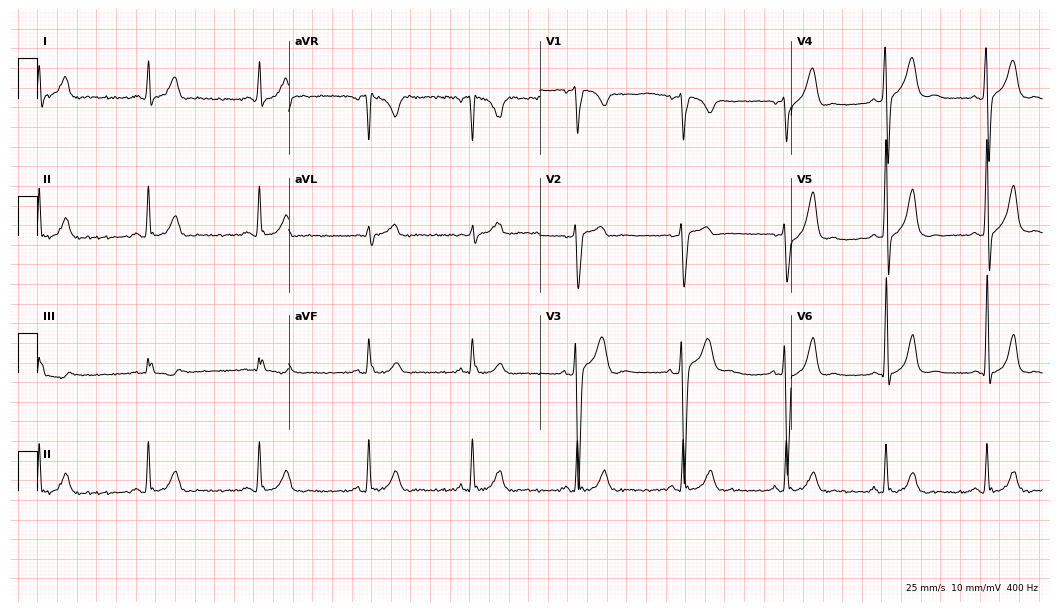
Electrocardiogram, a 44-year-old man. Of the six screened findings (first-degree AV block, right bundle branch block, left bundle branch block, sinus bradycardia, atrial fibrillation, sinus tachycardia), none is recorded. Findings outside these six are not listed.